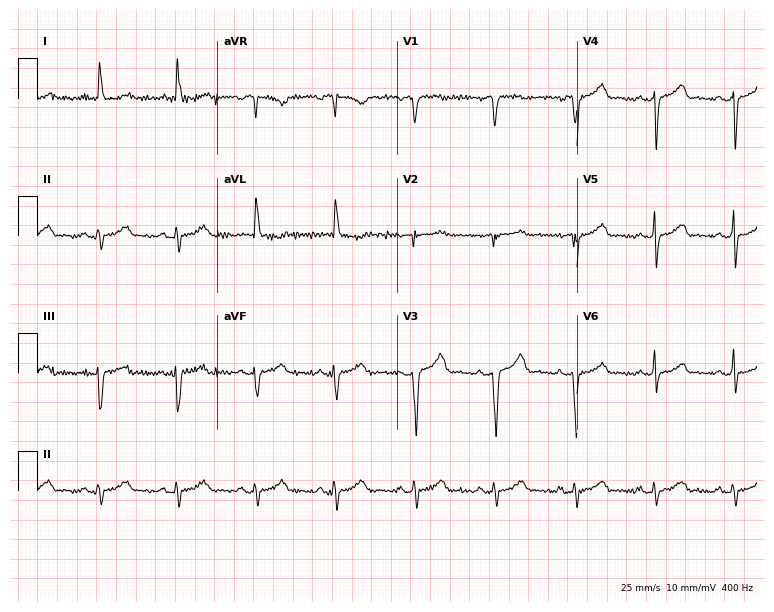
12-lead ECG (7.3-second recording at 400 Hz) from a woman, 67 years old. Screened for six findings — first-degree AV block, right bundle branch block, left bundle branch block, sinus bradycardia, atrial fibrillation, sinus tachycardia — none is recorded.